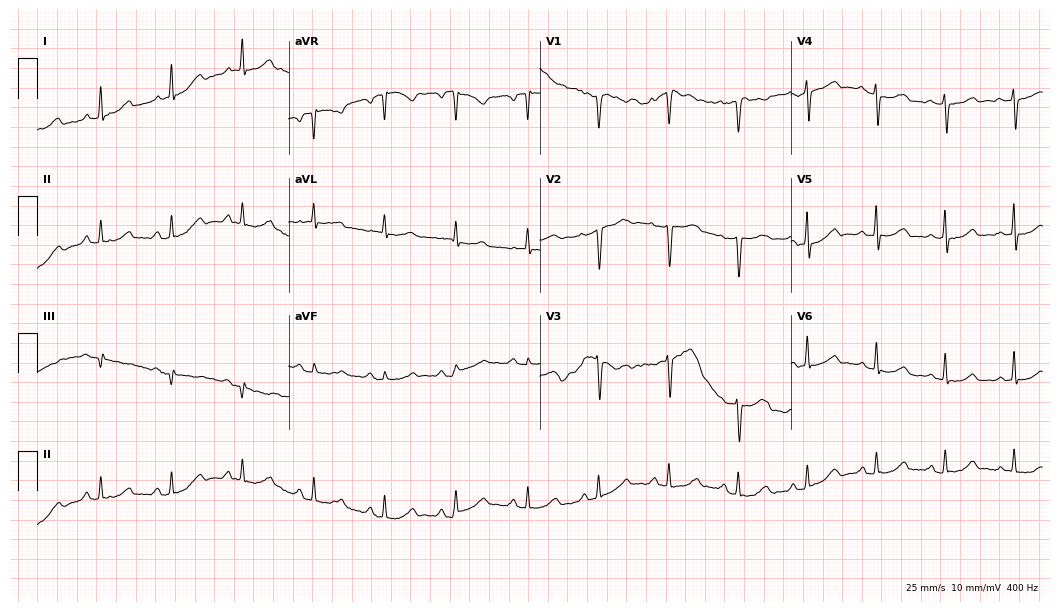
Standard 12-lead ECG recorded from a female patient, 64 years old (10.2-second recording at 400 Hz). Read as a normal ECG.